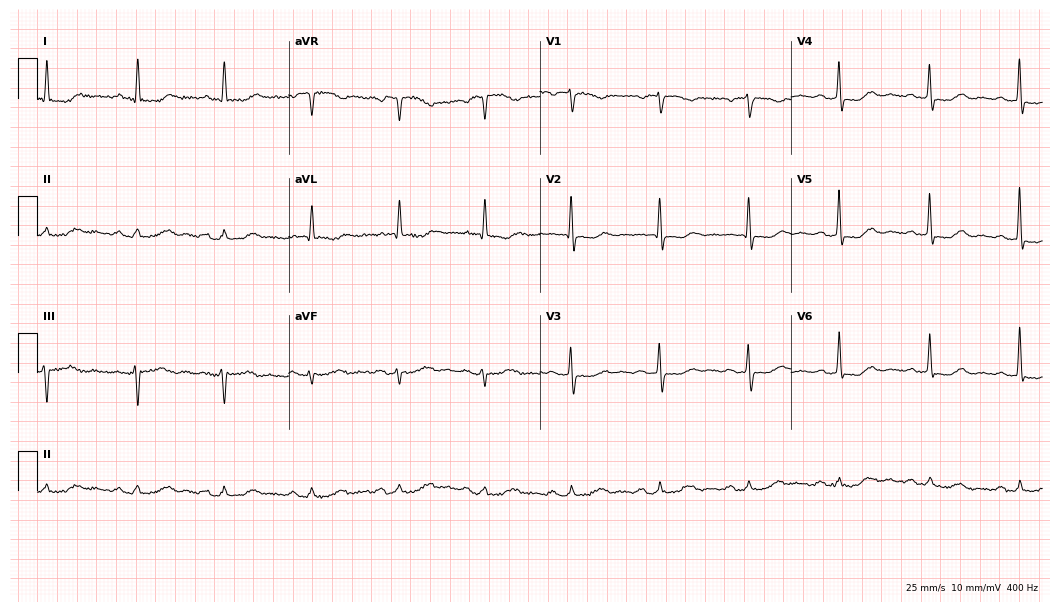
ECG (10.2-second recording at 400 Hz) — a female patient, 70 years old. Screened for six findings — first-degree AV block, right bundle branch block (RBBB), left bundle branch block (LBBB), sinus bradycardia, atrial fibrillation (AF), sinus tachycardia — none is recorded. Findings outside these six are not listed.